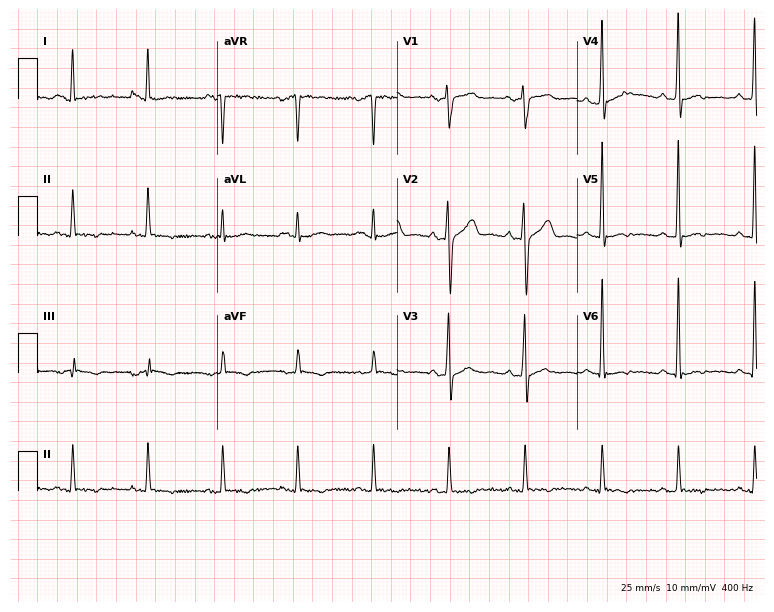
ECG — a 31-year-old male patient. Screened for six findings — first-degree AV block, right bundle branch block, left bundle branch block, sinus bradycardia, atrial fibrillation, sinus tachycardia — none is recorded. Findings outside these six are not listed.